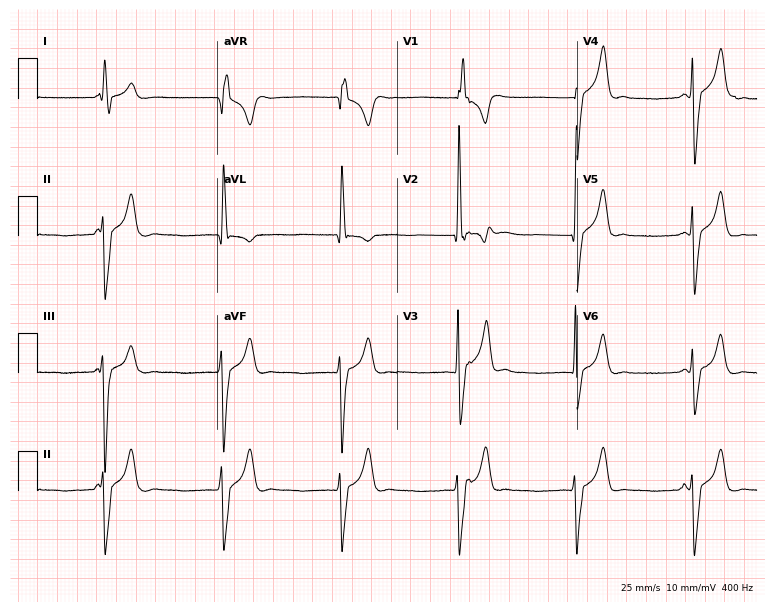
12-lead ECG (7.3-second recording at 400 Hz) from a 36-year-old male patient. Screened for six findings — first-degree AV block, right bundle branch block, left bundle branch block, sinus bradycardia, atrial fibrillation, sinus tachycardia — none is recorded. Findings outside these six are not listed.